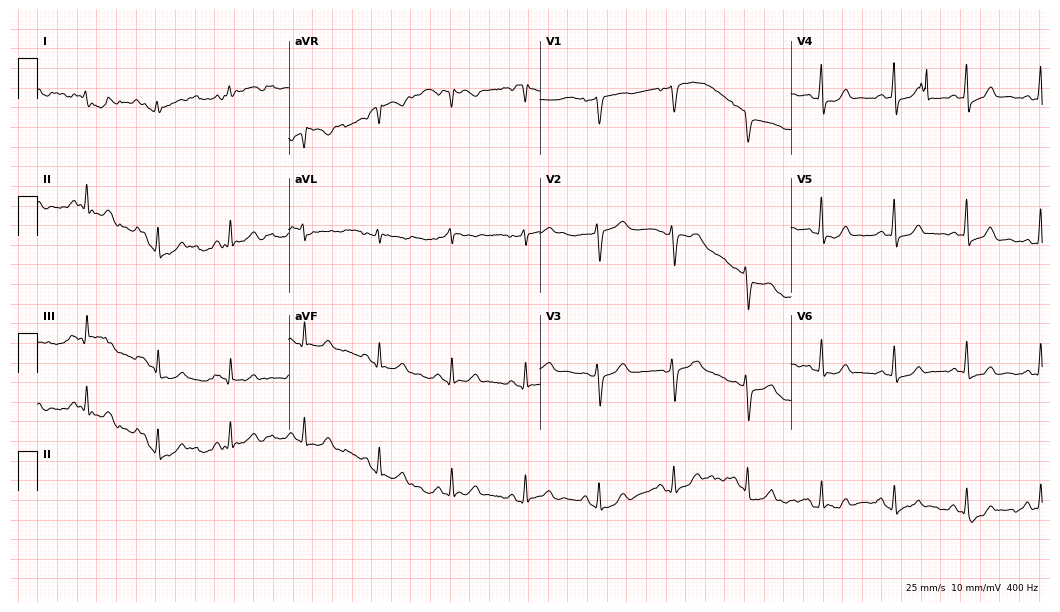
ECG — a 50-year-old female. Labelled as a normal ECG.